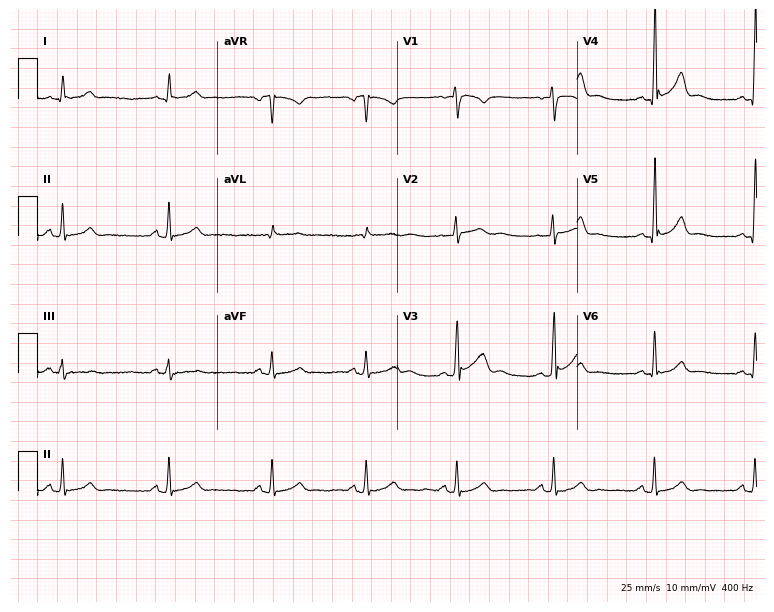
ECG (7.3-second recording at 400 Hz) — a 31-year-old man. Screened for six findings — first-degree AV block, right bundle branch block, left bundle branch block, sinus bradycardia, atrial fibrillation, sinus tachycardia — none is recorded.